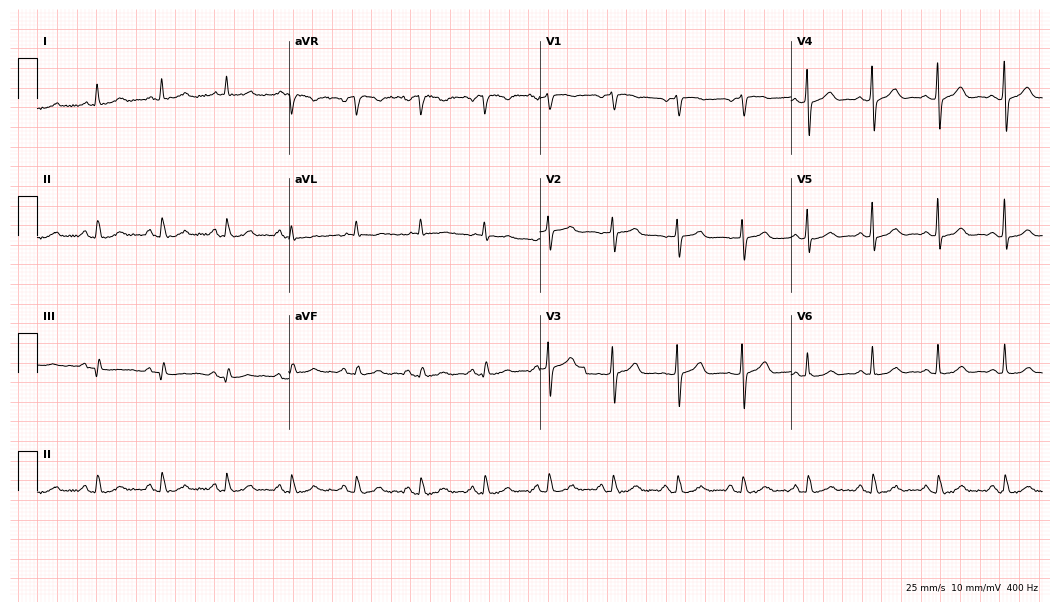
12-lead ECG (10.2-second recording at 400 Hz) from a female, 64 years old. Labelled as a normal ECG.